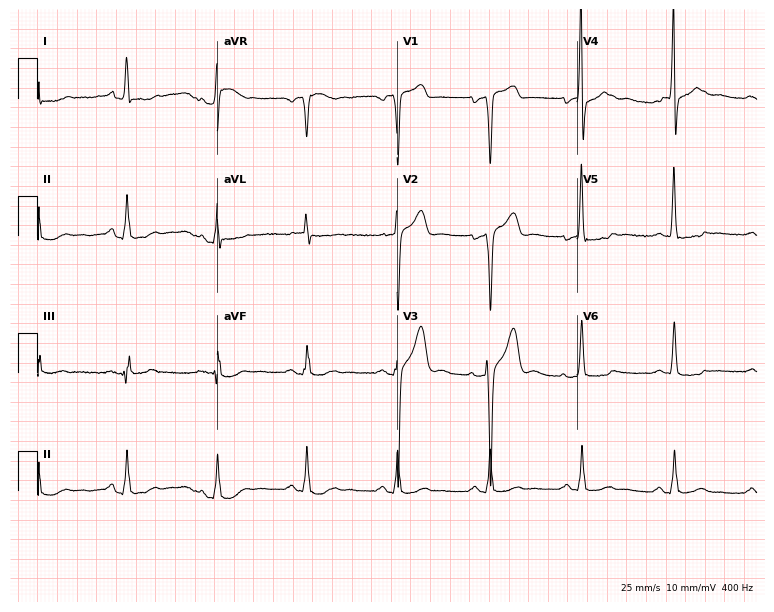
12-lead ECG from a 58-year-old male (7.3-second recording at 400 Hz). Recorded interpretation: within normal limits.